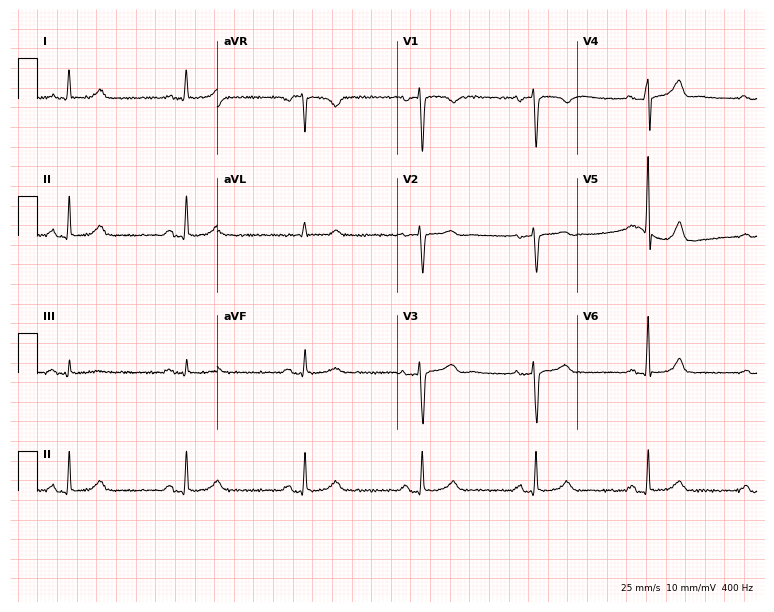
12-lead ECG from a female patient, 53 years old. Recorded interpretation: within normal limits.